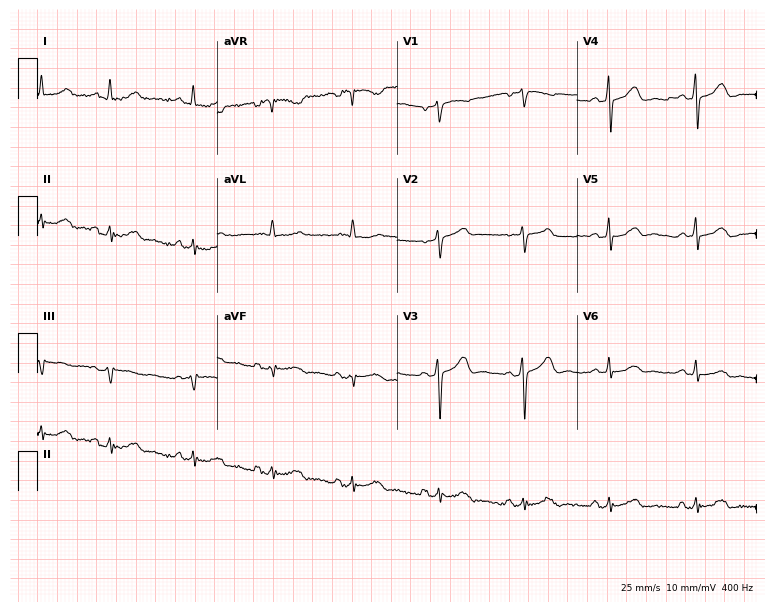
ECG — a 49-year-old female. Screened for six findings — first-degree AV block, right bundle branch block (RBBB), left bundle branch block (LBBB), sinus bradycardia, atrial fibrillation (AF), sinus tachycardia — none is recorded. Other findings, if any, are not listed.